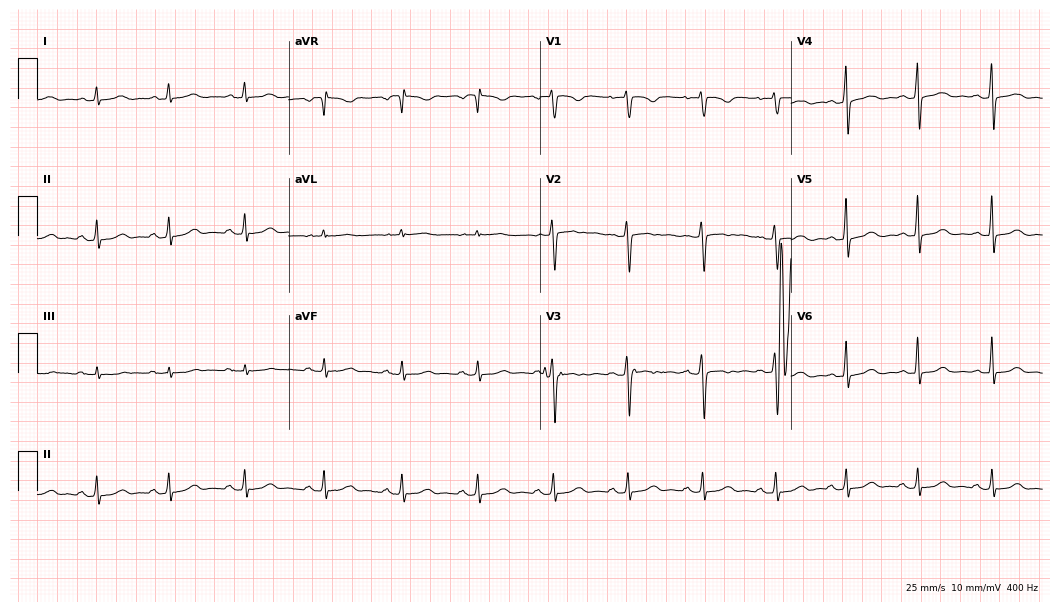
Standard 12-lead ECG recorded from a woman, 49 years old. Read as a normal ECG.